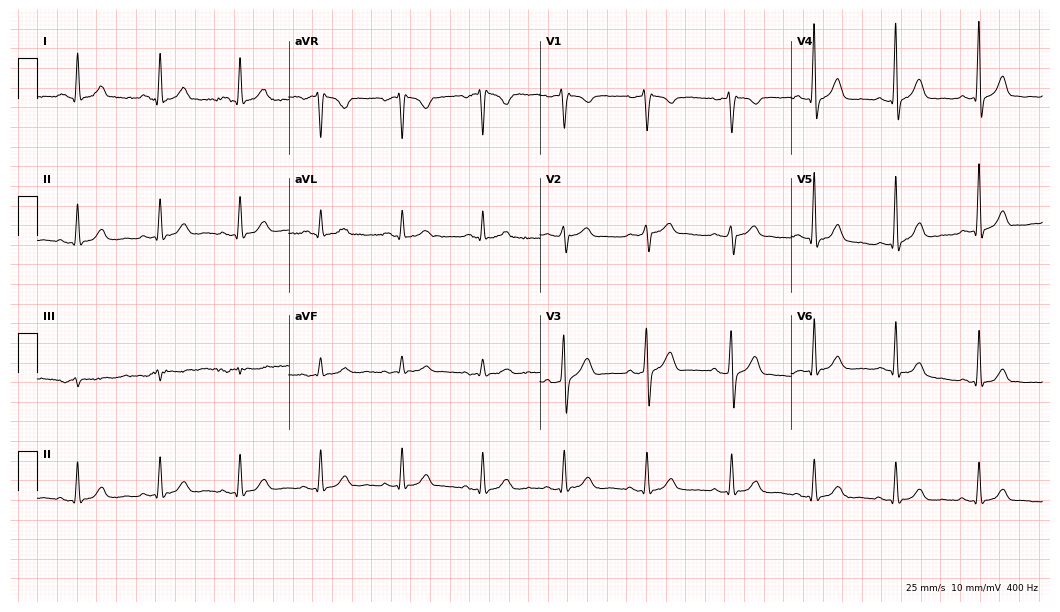
Resting 12-lead electrocardiogram (10.2-second recording at 400 Hz). Patient: a male, 58 years old. Read as a normal ECG.